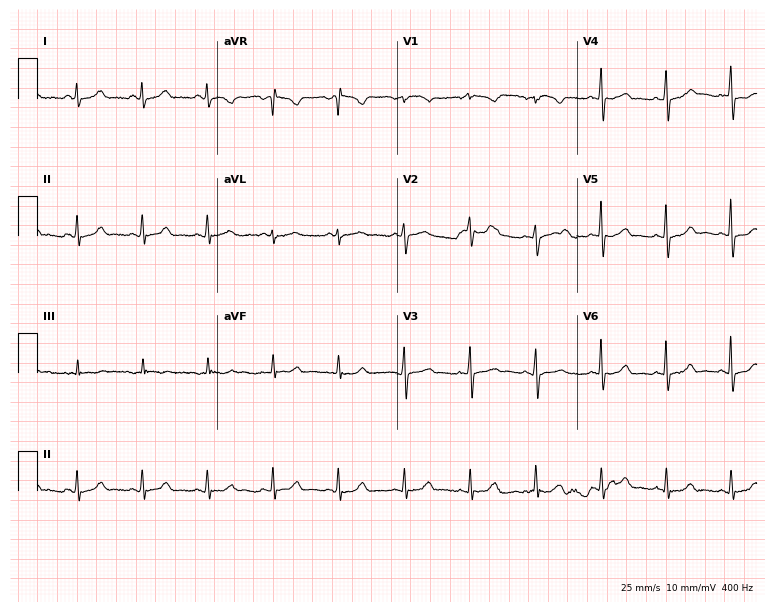
Standard 12-lead ECG recorded from a woman, 56 years old (7.3-second recording at 400 Hz). Read as a normal ECG.